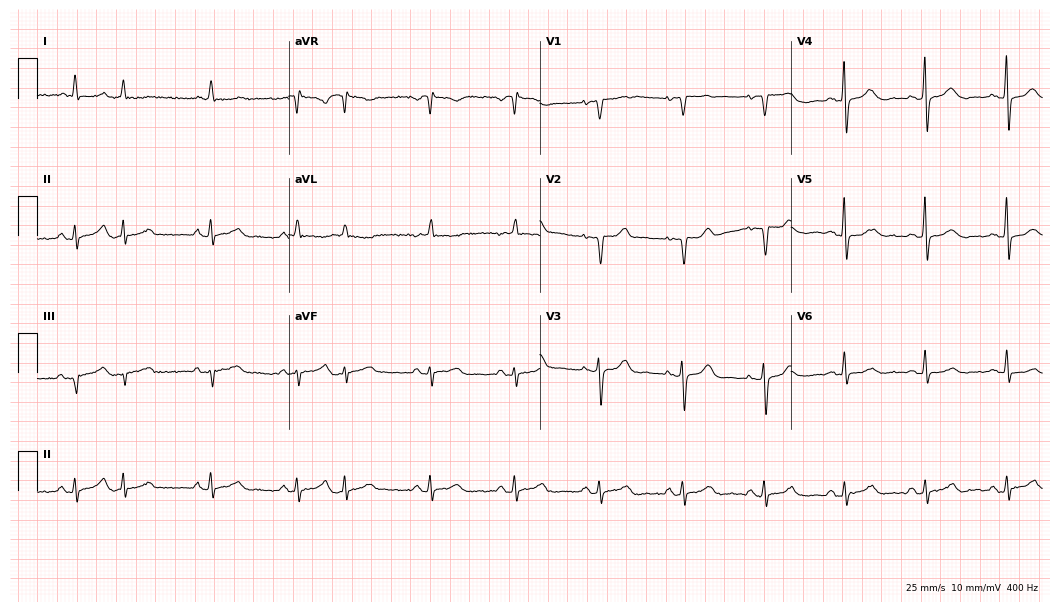
Resting 12-lead electrocardiogram (10.2-second recording at 400 Hz). Patient: a 76-year-old female. None of these six findings is recorded: first-degree AV block, right bundle branch block (RBBB), left bundle branch block (LBBB), sinus bradycardia, atrial fibrillation (AF), sinus tachycardia.